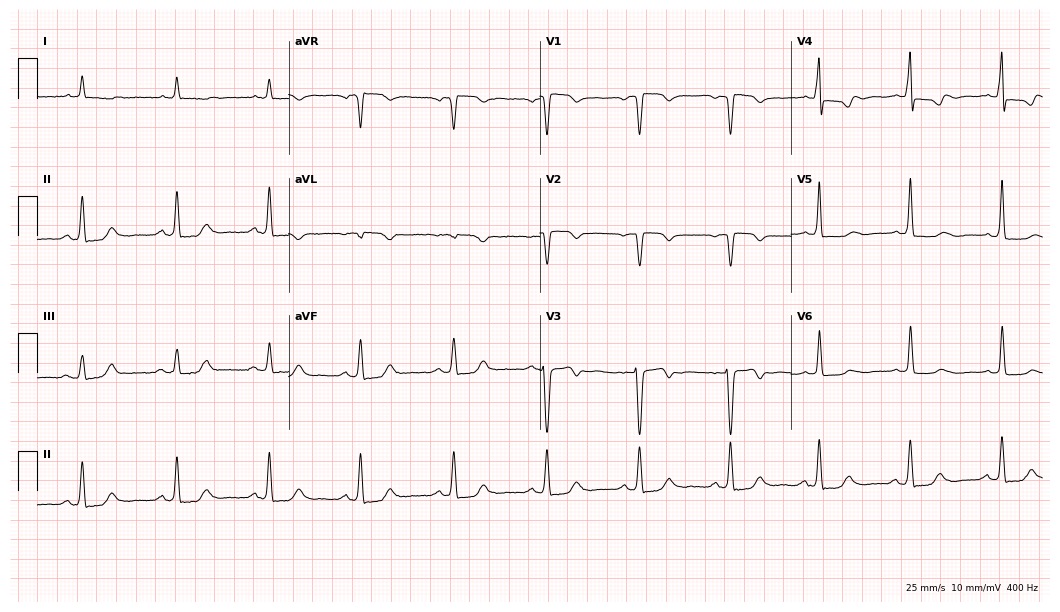
ECG — a woman, 74 years old. Screened for six findings — first-degree AV block, right bundle branch block (RBBB), left bundle branch block (LBBB), sinus bradycardia, atrial fibrillation (AF), sinus tachycardia — none is recorded.